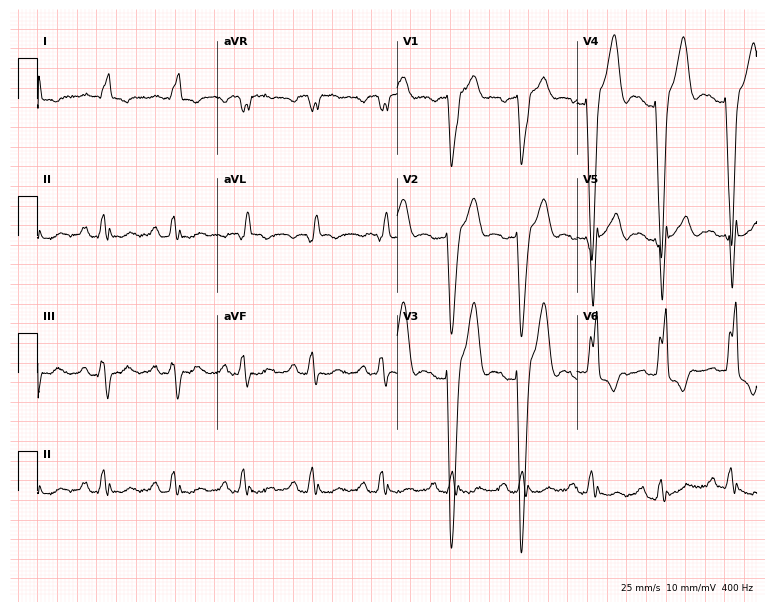
Standard 12-lead ECG recorded from a 72-year-old man. The tracing shows left bundle branch block (LBBB).